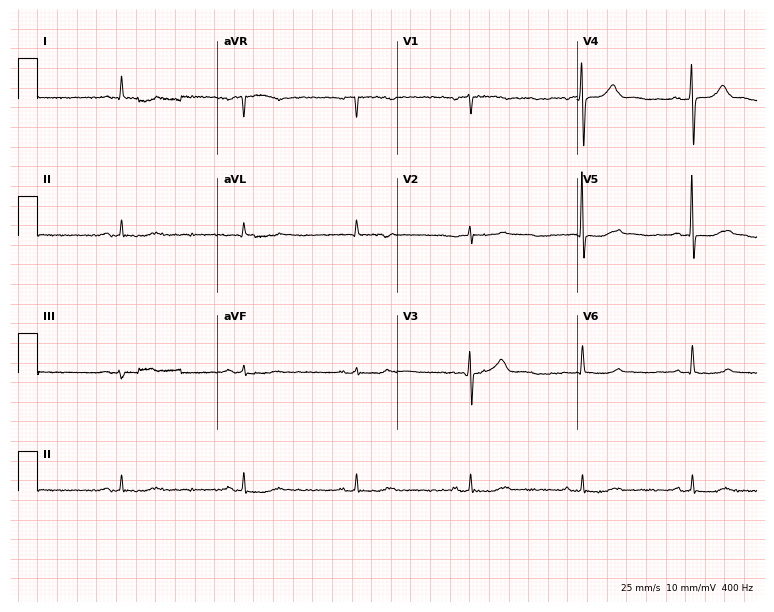
Standard 12-lead ECG recorded from a 76-year-old male (7.3-second recording at 400 Hz). None of these six findings is recorded: first-degree AV block, right bundle branch block, left bundle branch block, sinus bradycardia, atrial fibrillation, sinus tachycardia.